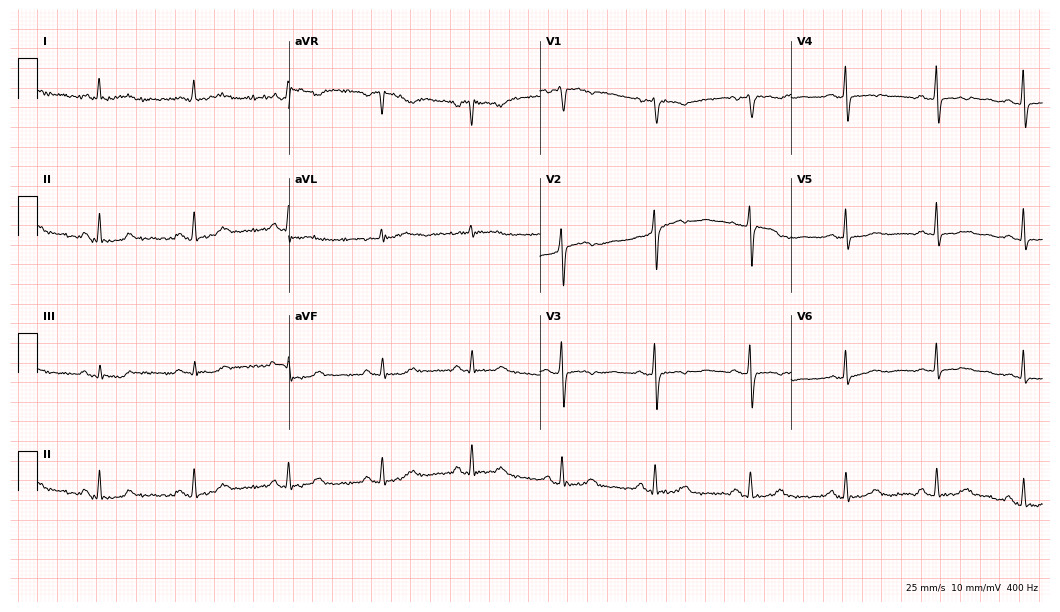
Standard 12-lead ECG recorded from a 62-year-old woman (10.2-second recording at 400 Hz). None of these six findings is recorded: first-degree AV block, right bundle branch block, left bundle branch block, sinus bradycardia, atrial fibrillation, sinus tachycardia. Only these six findings were labelled.